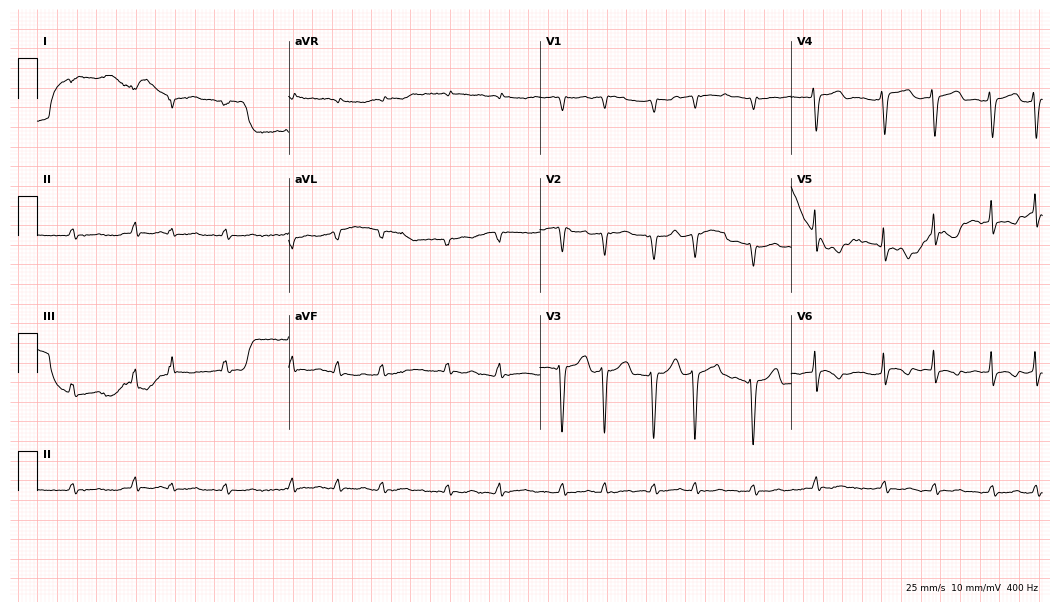
Resting 12-lead electrocardiogram (10.2-second recording at 400 Hz). Patient: a female, 75 years old. The tracing shows atrial fibrillation.